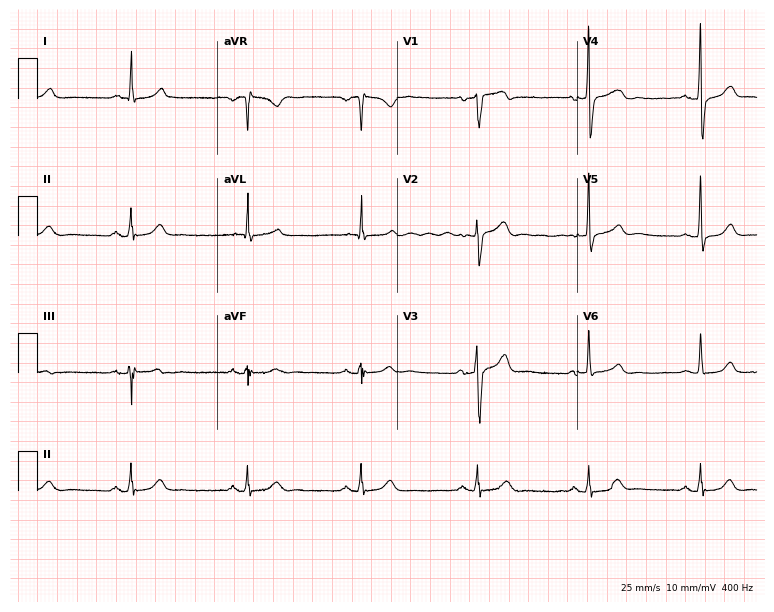
Electrocardiogram (7.3-second recording at 400 Hz), a male, 53 years old. Overall reading on record: normal ECG.